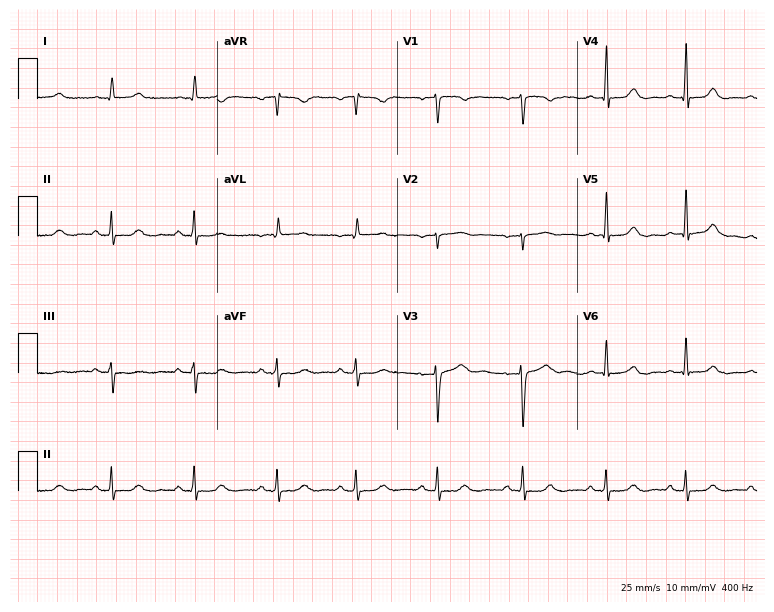
Resting 12-lead electrocardiogram. Patient: a 39-year-old female. None of these six findings is recorded: first-degree AV block, right bundle branch block (RBBB), left bundle branch block (LBBB), sinus bradycardia, atrial fibrillation (AF), sinus tachycardia.